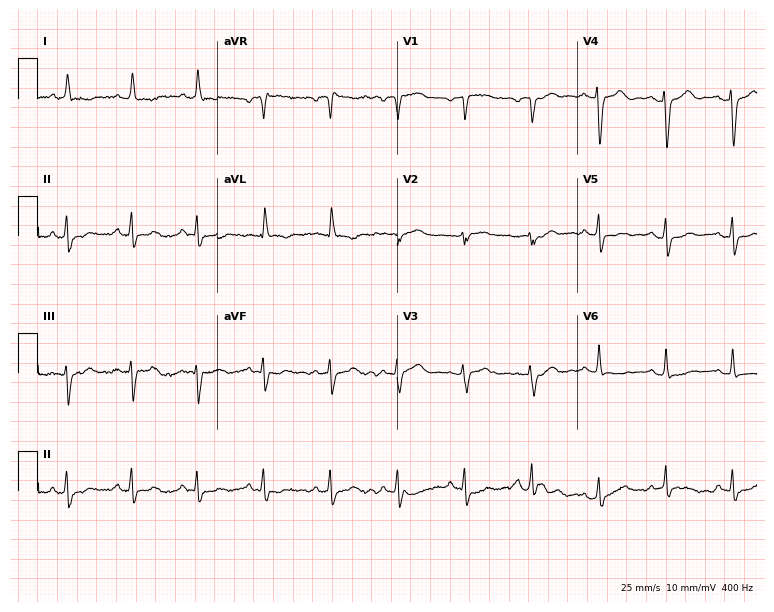
ECG — a female, 79 years old. Screened for six findings — first-degree AV block, right bundle branch block, left bundle branch block, sinus bradycardia, atrial fibrillation, sinus tachycardia — none is recorded.